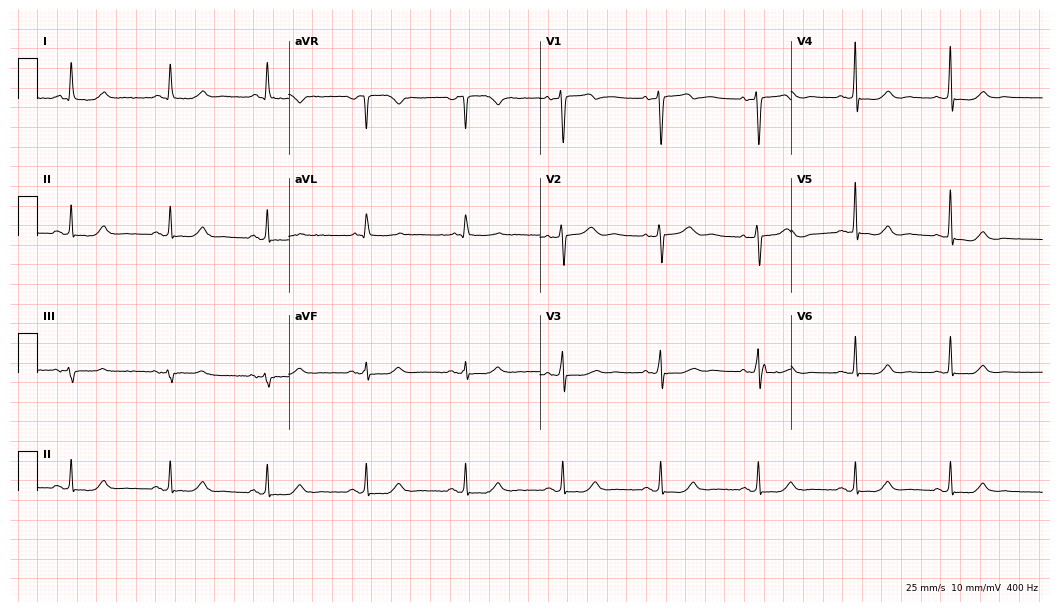
12-lead ECG from a 66-year-old woman. Screened for six findings — first-degree AV block, right bundle branch block, left bundle branch block, sinus bradycardia, atrial fibrillation, sinus tachycardia — none is recorded.